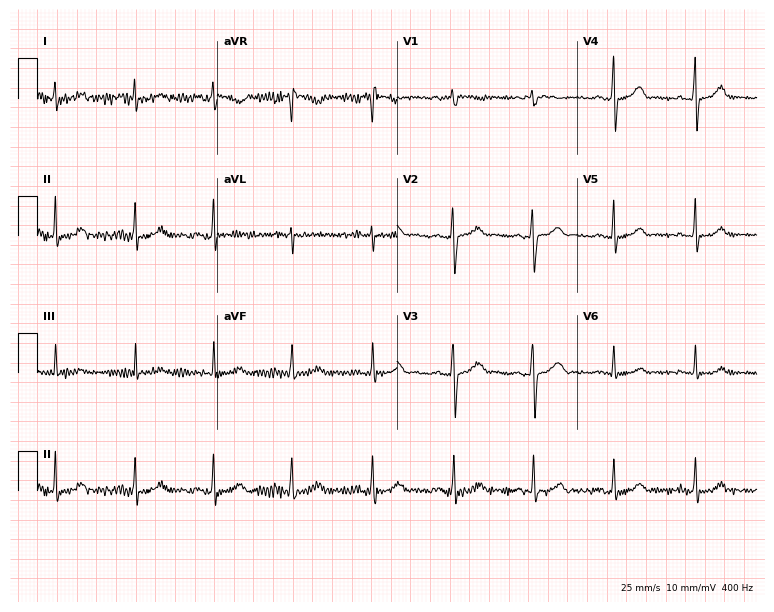
Standard 12-lead ECG recorded from a woman, 30 years old (7.3-second recording at 400 Hz). None of these six findings is recorded: first-degree AV block, right bundle branch block, left bundle branch block, sinus bradycardia, atrial fibrillation, sinus tachycardia.